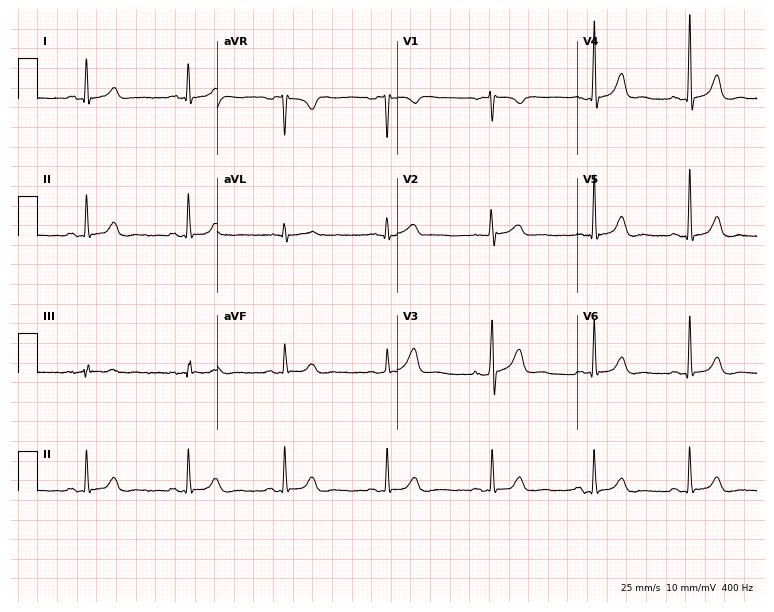
Standard 12-lead ECG recorded from a female, 40 years old (7.3-second recording at 400 Hz). Read as a normal ECG.